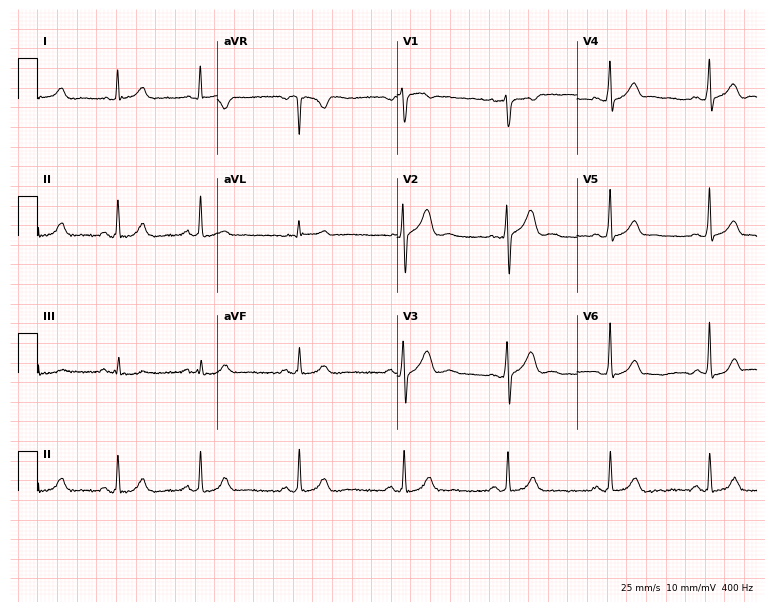
12-lead ECG from a 29-year-old man. Labelled as a normal ECG.